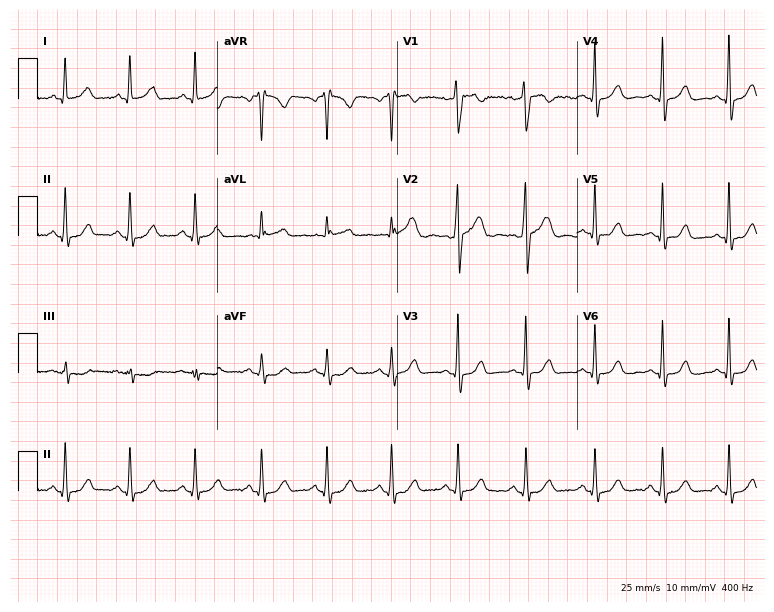
ECG (7.3-second recording at 400 Hz) — a 36-year-old woman. Labelled as a normal ECG.